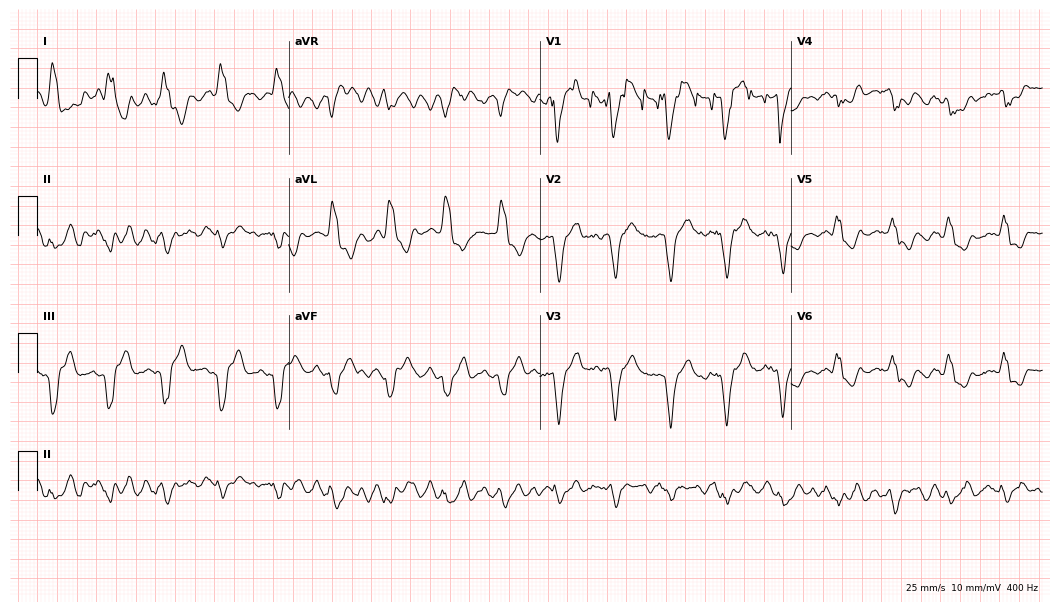
Resting 12-lead electrocardiogram. Patient: an 84-year-old female. The tracing shows left bundle branch block (LBBB), sinus tachycardia (a sinus rate of 100 beats per minute or more).